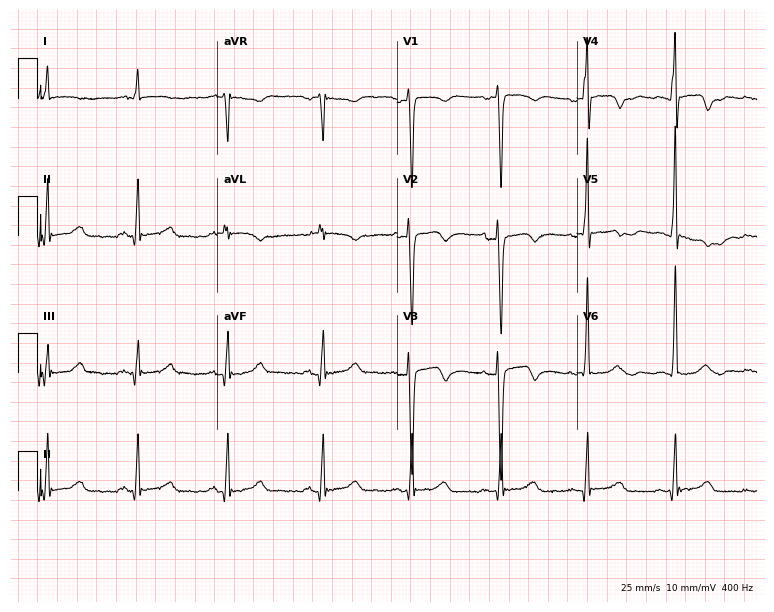
12-lead ECG from a man, 51 years old (7.3-second recording at 400 Hz). Recorded interpretation: within normal limits.